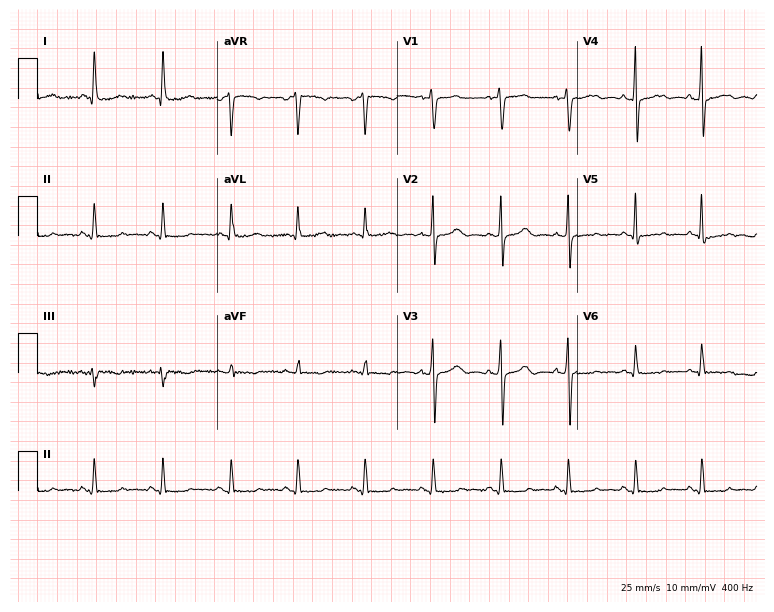
Standard 12-lead ECG recorded from a woman, 54 years old. Read as a normal ECG.